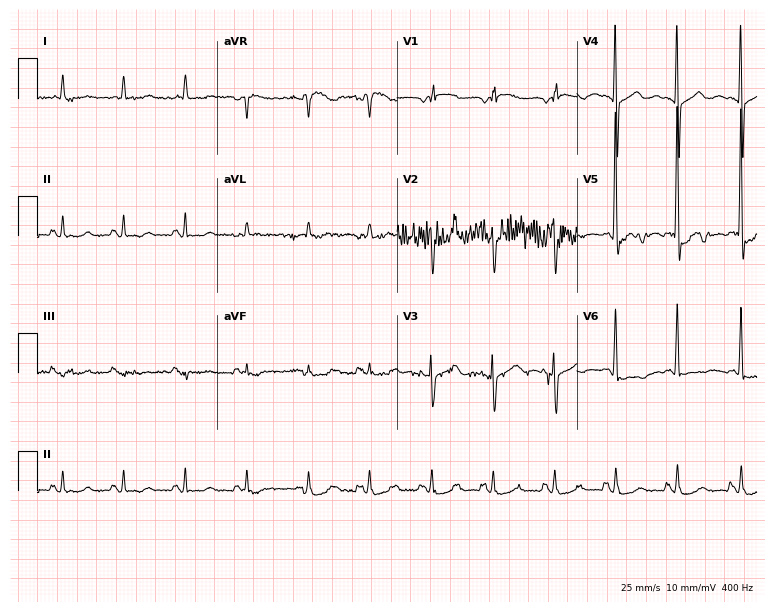
Electrocardiogram, a 63-year-old female. Of the six screened findings (first-degree AV block, right bundle branch block, left bundle branch block, sinus bradycardia, atrial fibrillation, sinus tachycardia), none is recorded.